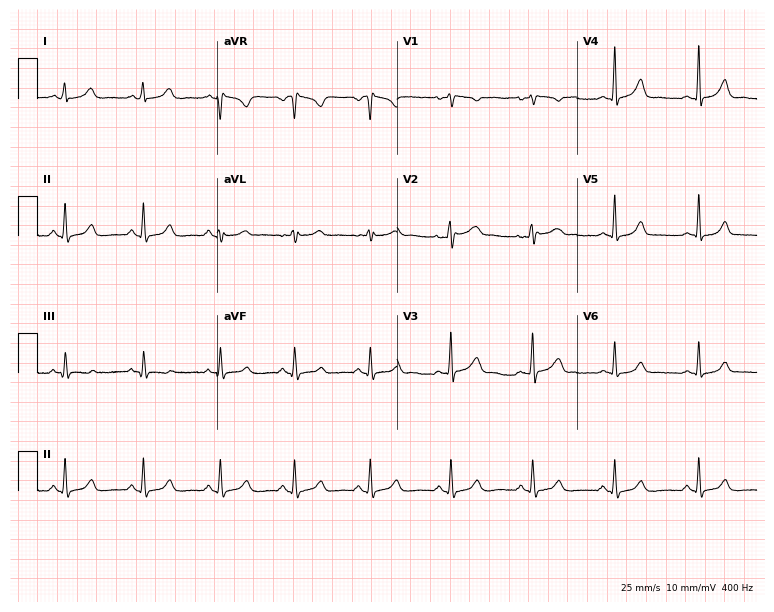
12-lead ECG (7.3-second recording at 400 Hz) from a woman, 18 years old. Labelled as a normal ECG.